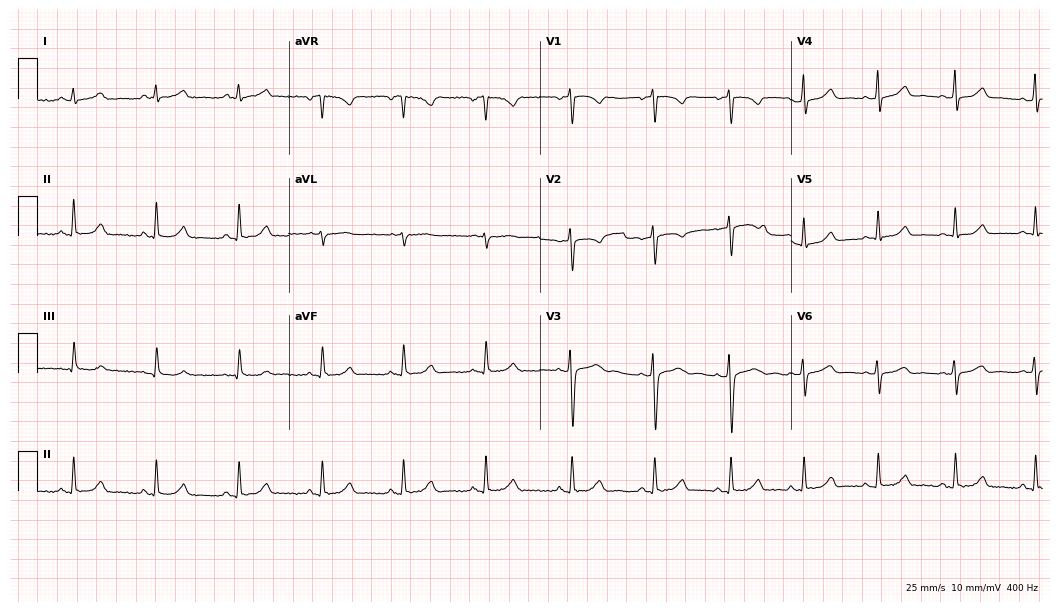
Standard 12-lead ECG recorded from a woman, 17 years old. Read as a normal ECG.